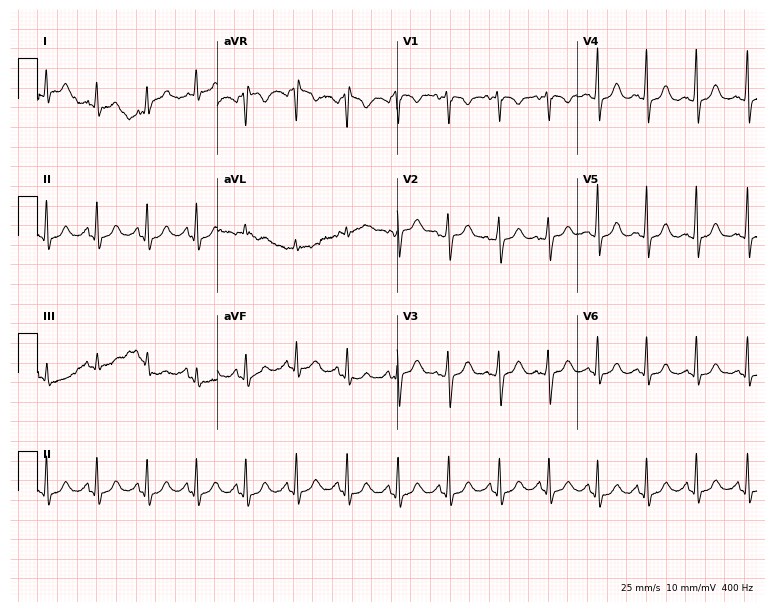
12-lead ECG (7.3-second recording at 400 Hz) from a female, 24 years old. Findings include sinus tachycardia (a sinus rate of 100 beats per minute or more).